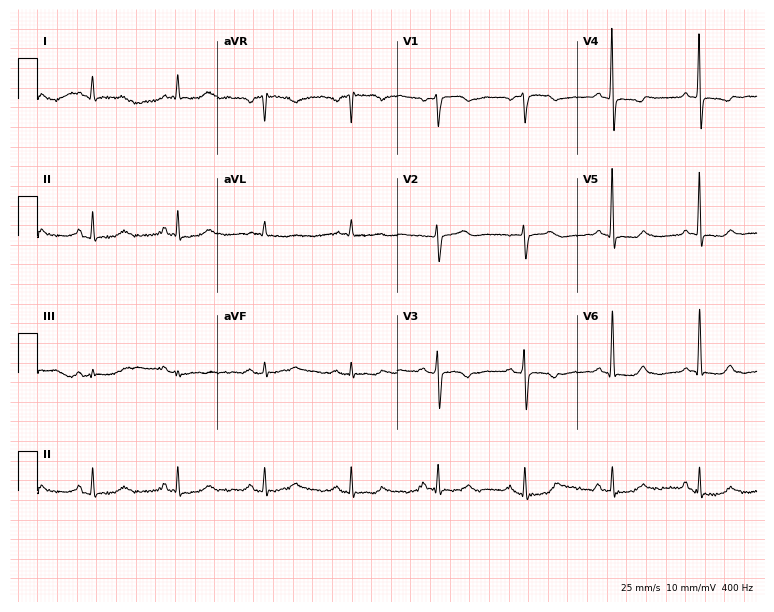
Resting 12-lead electrocardiogram. Patient: a male, 55 years old. None of these six findings is recorded: first-degree AV block, right bundle branch block (RBBB), left bundle branch block (LBBB), sinus bradycardia, atrial fibrillation (AF), sinus tachycardia. Findings outside these six are not listed.